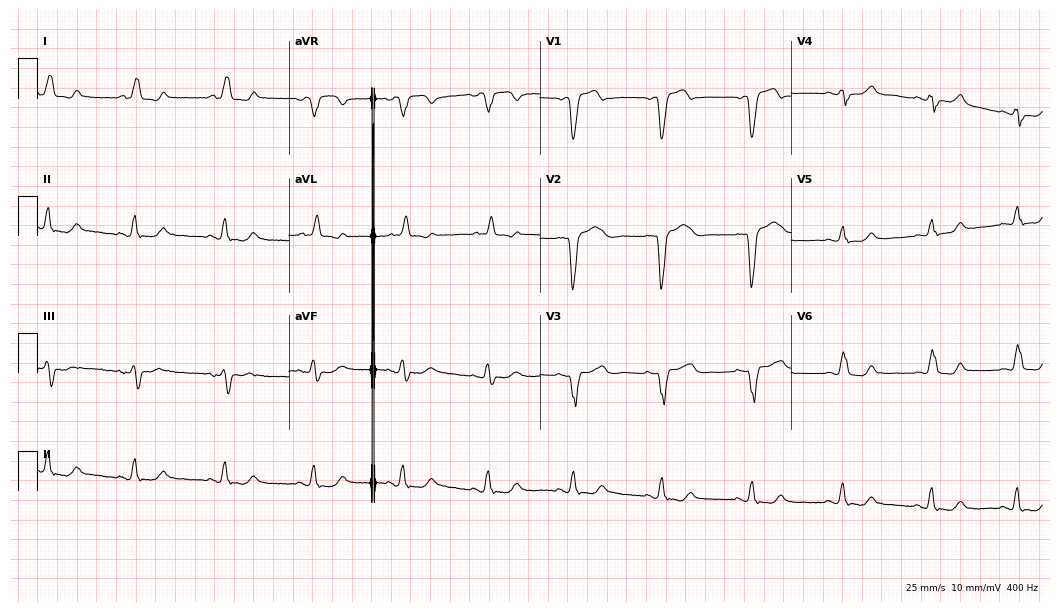
Standard 12-lead ECG recorded from a female, 70 years old (10.2-second recording at 400 Hz). The tracing shows left bundle branch block (LBBB).